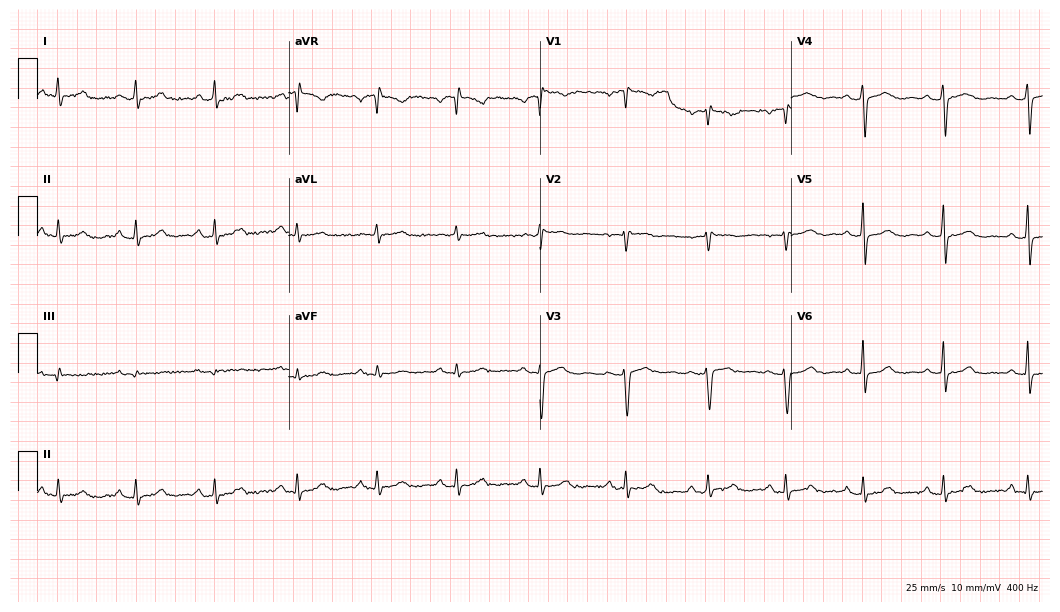
Electrocardiogram, a woman, 36 years old. Overall reading on record: normal ECG.